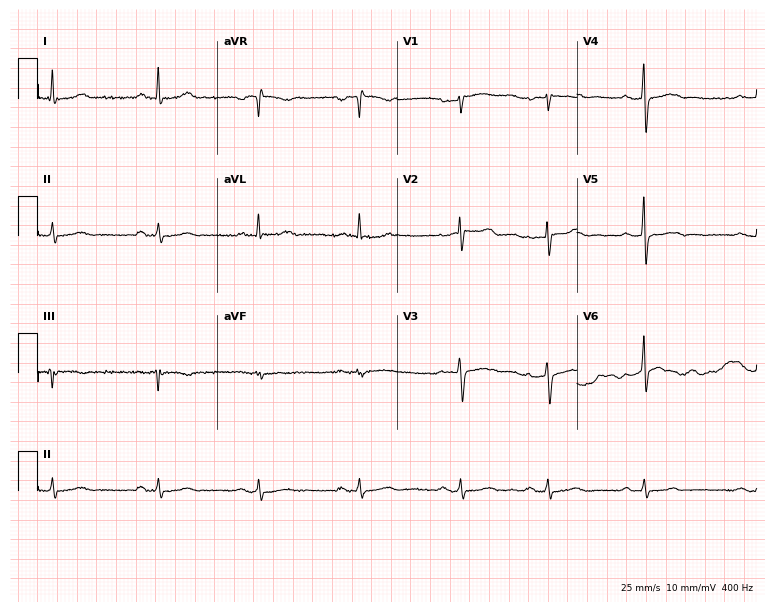
Standard 12-lead ECG recorded from a male, 68 years old. None of these six findings is recorded: first-degree AV block, right bundle branch block, left bundle branch block, sinus bradycardia, atrial fibrillation, sinus tachycardia.